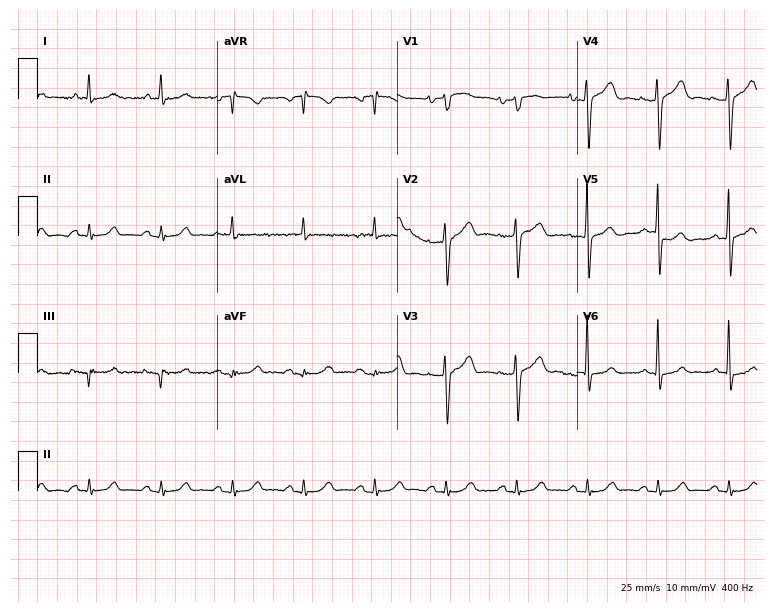
12-lead ECG (7.3-second recording at 400 Hz) from an 85-year-old female. Screened for six findings — first-degree AV block, right bundle branch block, left bundle branch block, sinus bradycardia, atrial fibrillation, sinus tachycardia — none is recorded.